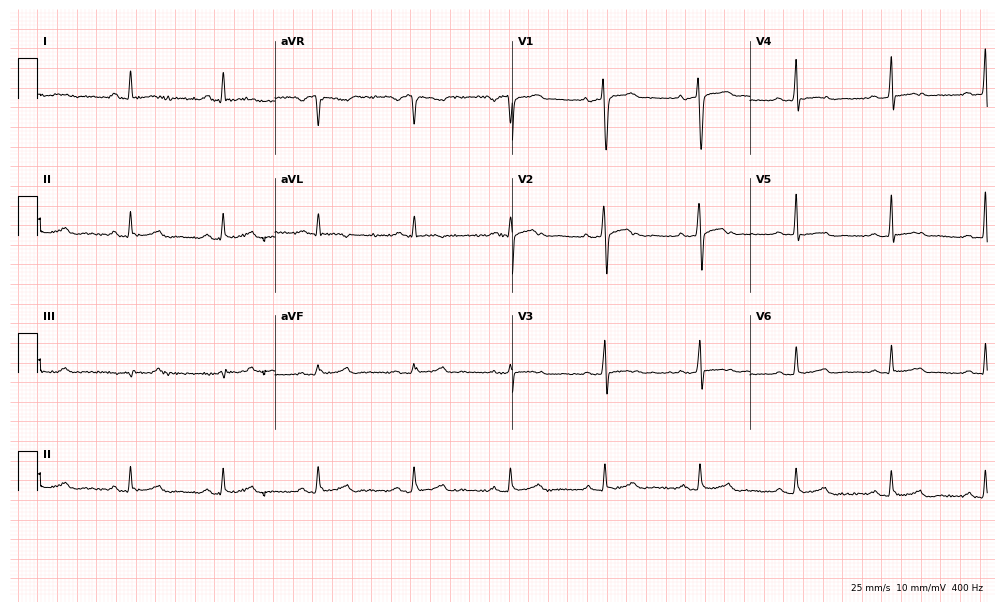
12-lead ECG from a man, 36 years old (9.7-second recording at 400 Hz). No first-degree AV block, right bundle branch block, left bundle branch block, sinus bradycardia, atrial fibrillation or sinus tachycardia recorded for this tracing.